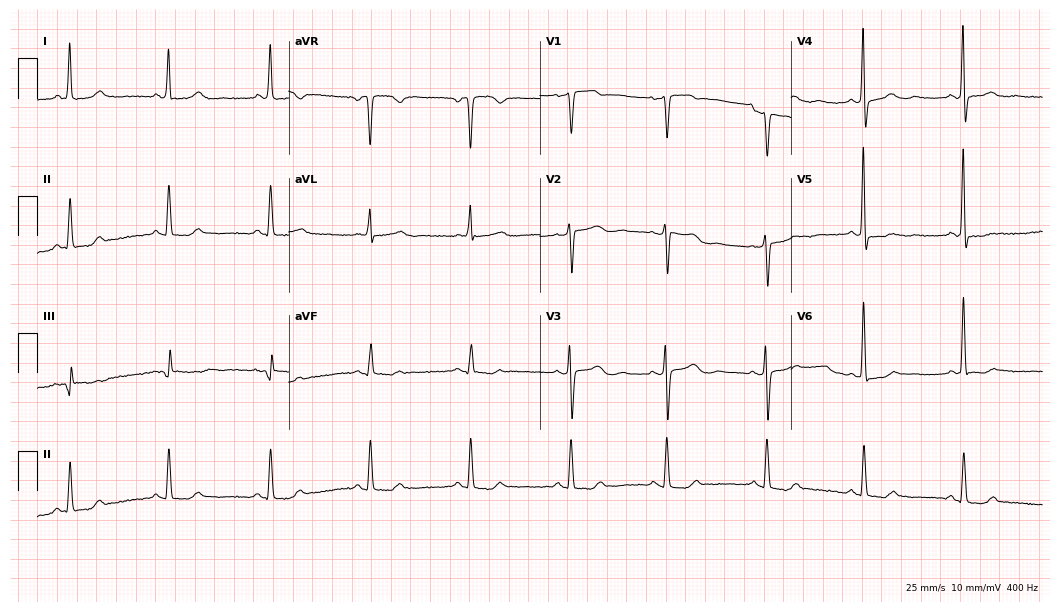
12-lead ECG from a woman, 63 years old (10.2-second recording at 400 Hz). No first-degree AV block, right bundle branch block (RBBB), left bundle branch block (LBBB), sinus bradycardia, atrial fibrillation (AF) or sinus tachycardia recorded for this tracing. Only these six findings were labelled.